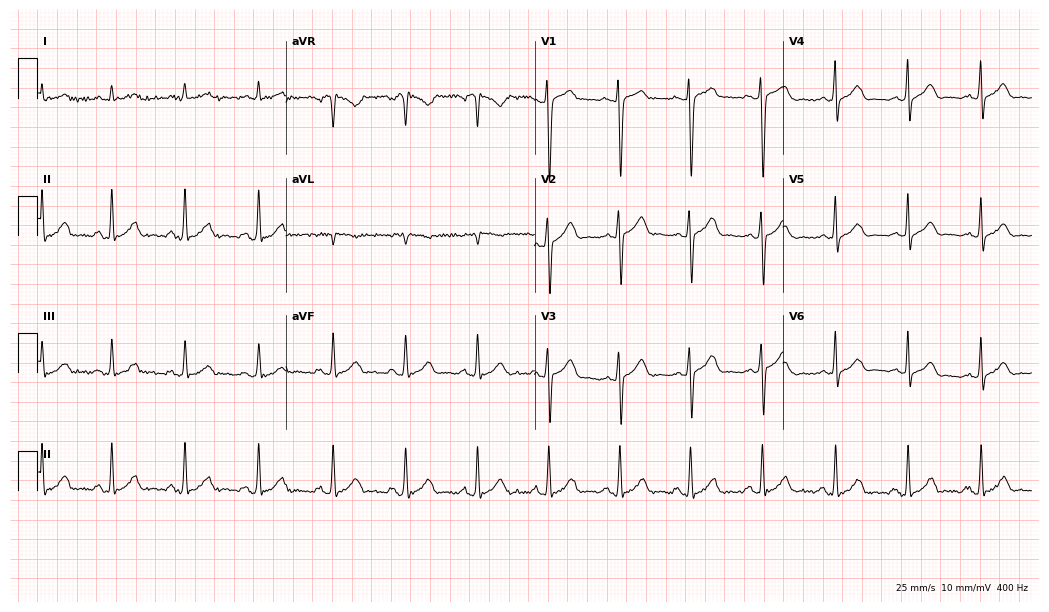
12-lead ECG from a male, 33 years old. Labelled as a normal ECG.